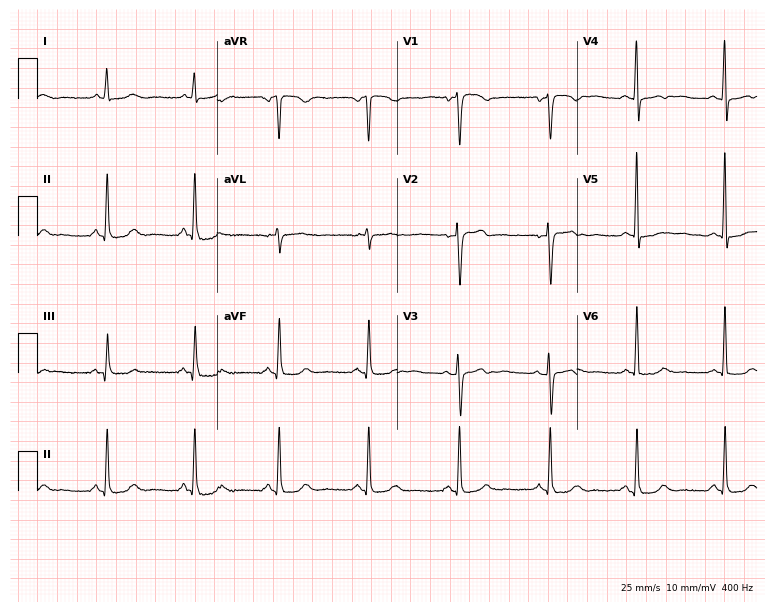
Electrocardiogram, a 59-year-old female. Overall reading on record: normal ECG.